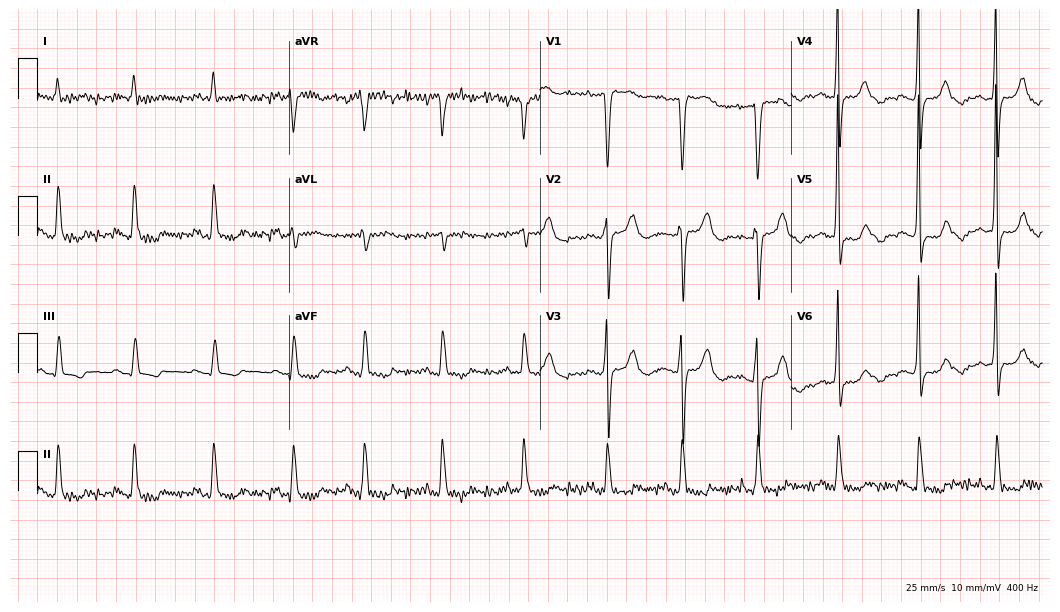
ECG (10.2-second recording at 400 Hz) — a 60-year-old woman. Screened for six findings — first-degree AV block, right bundle branch block (RBBB), left bundle branch block (LBBB), sinus bradycardia, atrial fibrillation (AF), sinus tachycardia — none is recorded. Other findings, if any, are not listed.